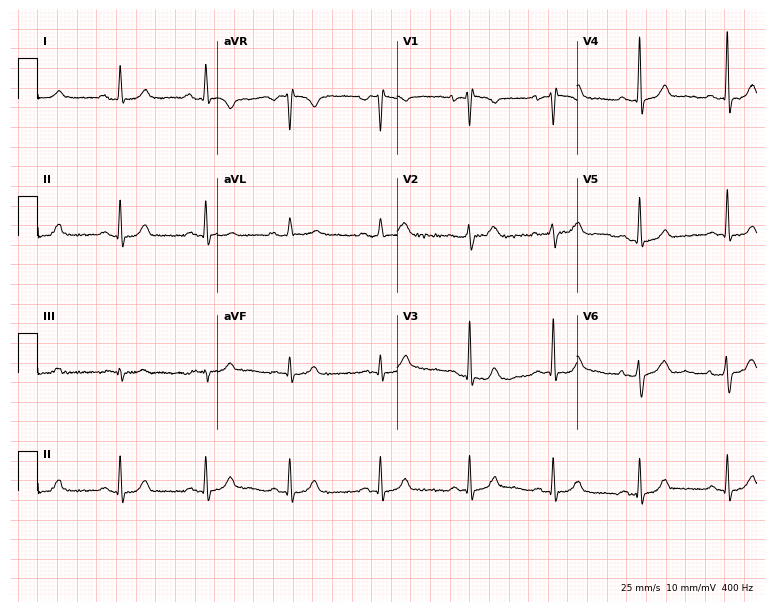
Resting 12-lead electrocardiogram (7.3-second recording at 400 Hz). Patient: a female, 47 years old. Read as a normal ECG.